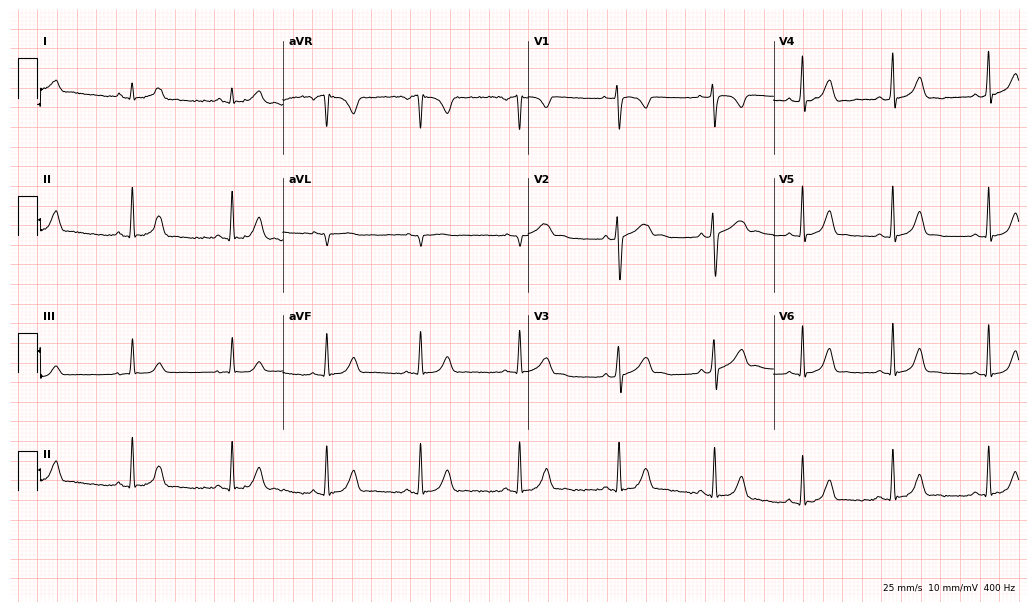
Standard 12-lead ECG recorded from a 21-year-old woman (10-second recording at 400 Hz). Read as a normal ECG.